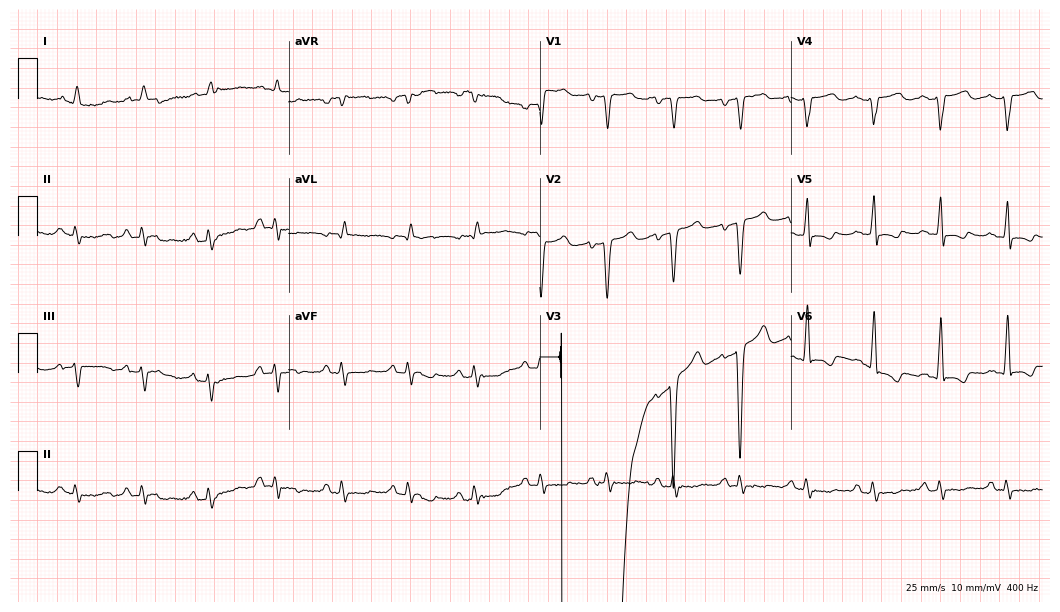
12-lead ECG (10.2-second recording at 400 Hz) from a male, 50 years old. Screened for six findings — first-degree AV block, right bundle branch block, left bundle branch block, sinus bradycardia, atrial fibrillation, sinus tachycardia — none is recorded. Findings outside these six are not listed.